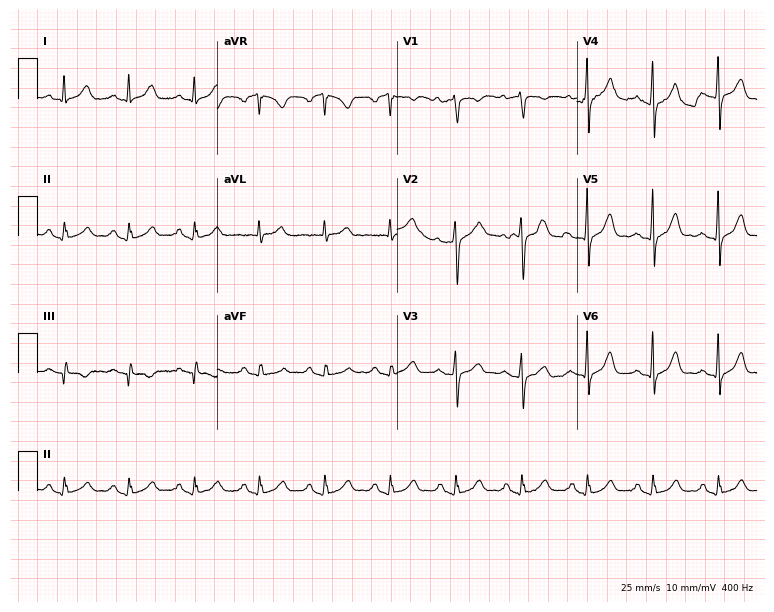
ECG — a 63-year-old female. Findings include first-degree AV block.